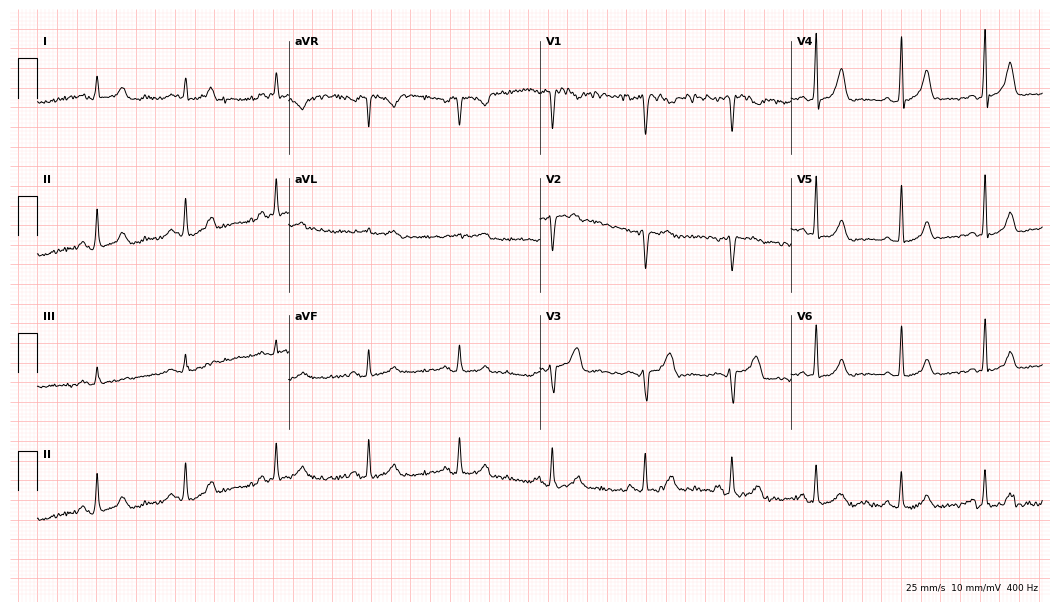
Electrocardiogram (10.2-second recording at 400 Hz), a 47-year-old female. Overall reading on record: normal ECG.